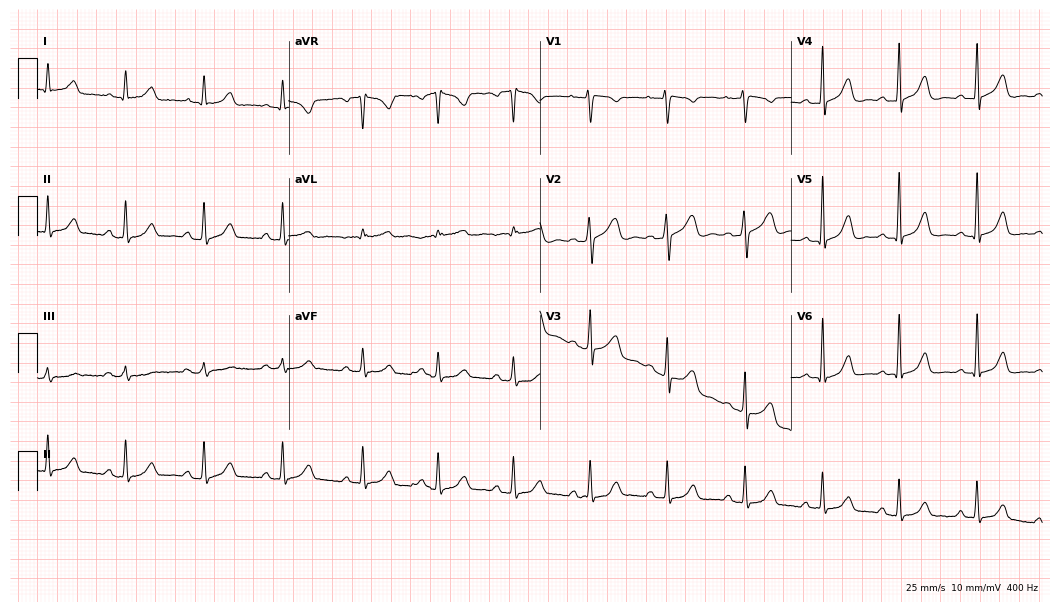
Resting 12-lead electrocardiogram. Patient: a 35-year-old female. Read as a normal ECG.